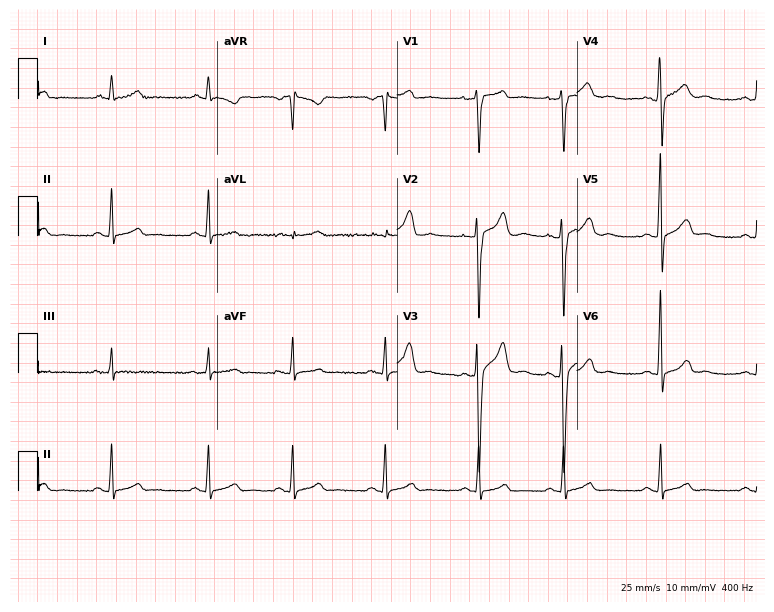
Resting 12-lead electrocardiogram. Patient: a male, 19 years old. Read as a normal ECG.